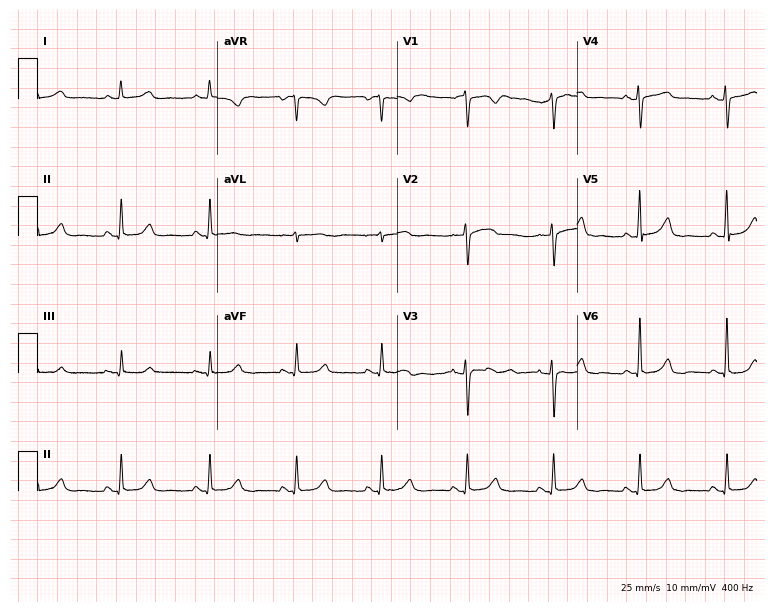
Electrocardiogram, a female patient, 53 years old. Overall reading on record: normal ECG.